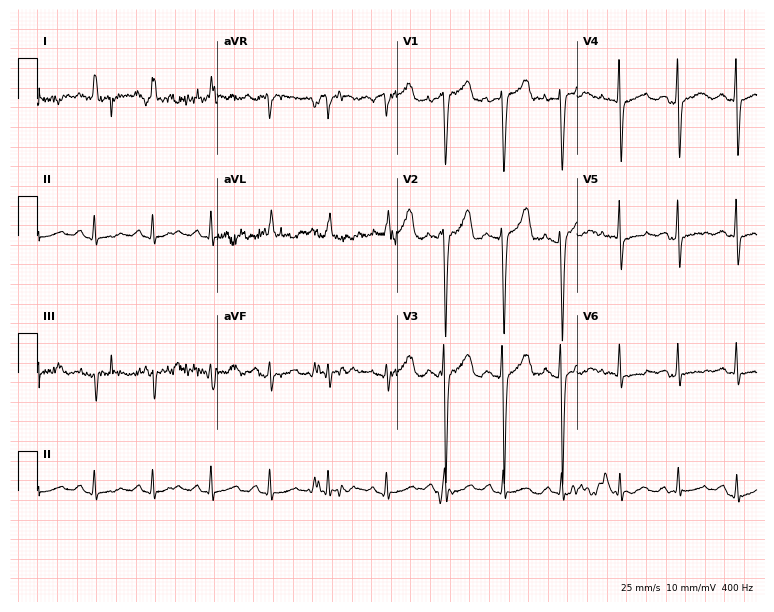
12-lead ECG from a 71-year-old woman. No first-degree AV block, right bundle branch block, left bundle branch block, sinus bradycardia, atrial fibrillation or sinus tachycardia recorded for this tracing.